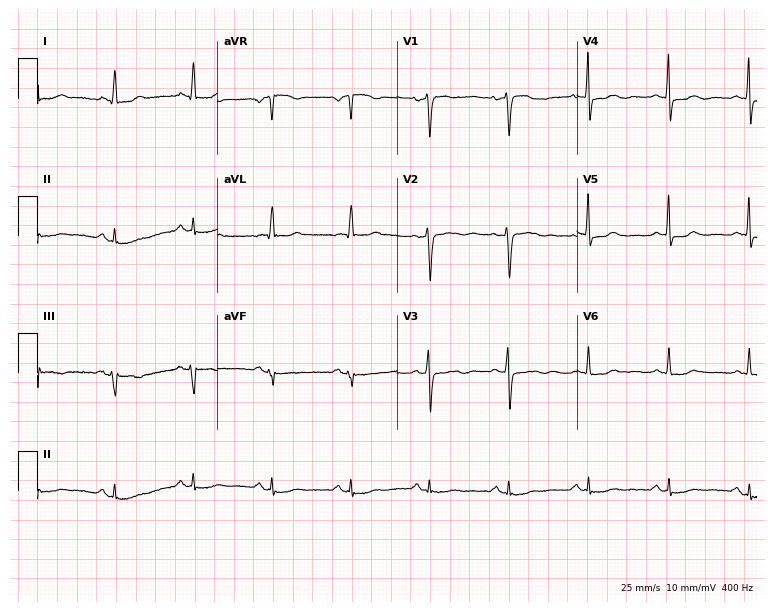
Standard 12-lead ECG recorded from a 68-year-old woman (7.3-second recording at 400 Hz). None of these six findings is recorded: first-degree AV block, right bundle branch block, left bundle branch block, sinus bradycardia, atrial fibrillation, sinus tachycardia. Findings outside these six are not listed.